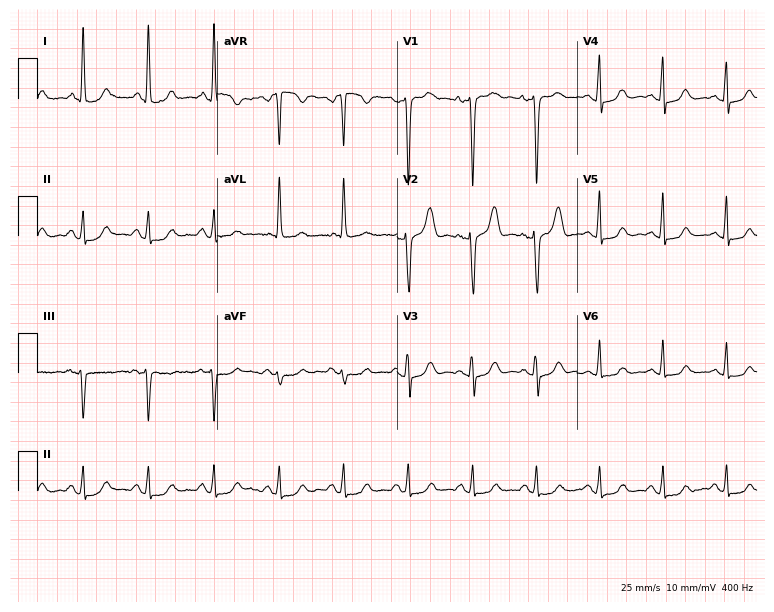
ECG — a female, 41 years old. Labelled as a normal ECG.